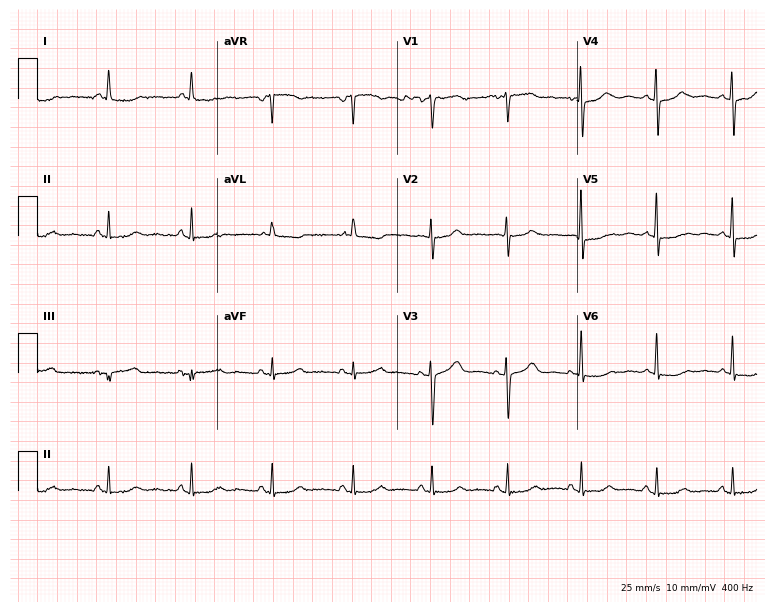
Standard 12-lead ECG recorded from a 58-year-old woman (7.3-second recording at 400 Hz). None of these six findings is recorded: first-degree AV block, right bundle branch block, left bundle branch block, sinus bradycardia, atrial fibrillation, sinus tachycardia.